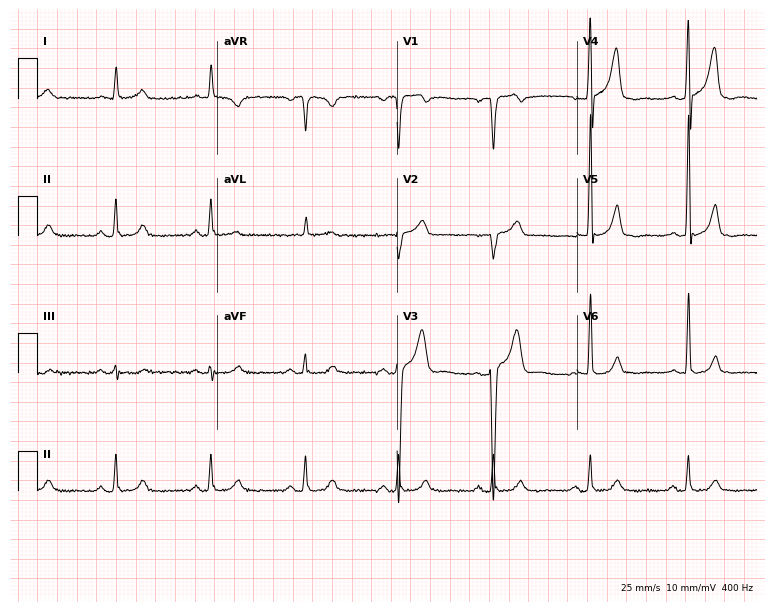
Standard 12-lead ECG recorded from a male, 62 years old (7.3-second recording at 400 Hz). None of these six findings is recorded: first-degree AV block, right bundle branch block, left bundle branch block, sinus bradycardia, atrial fibrillation, sinus tachycardia.